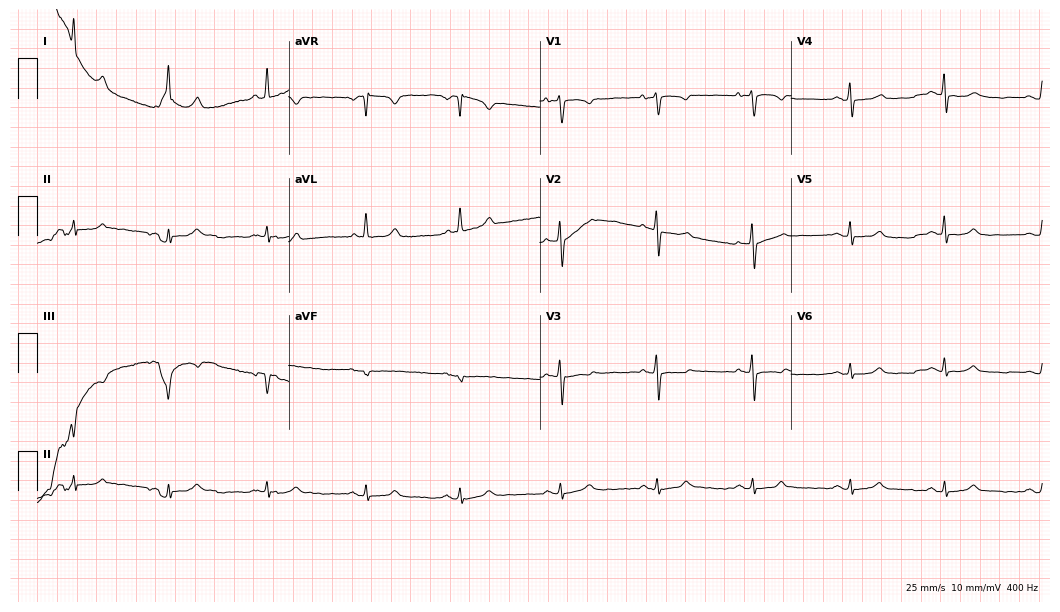
Electrocardiogram (10.2-second recording at 400 Hz), a 68-year-old female patient. Of the six screened findings (first-degree AV block, right bundle branch block, left bundle branch block, sinus bradycardia, atrial fibrillation, sinus tachycardia), none is recorded. Other findings, if any, are not listed.